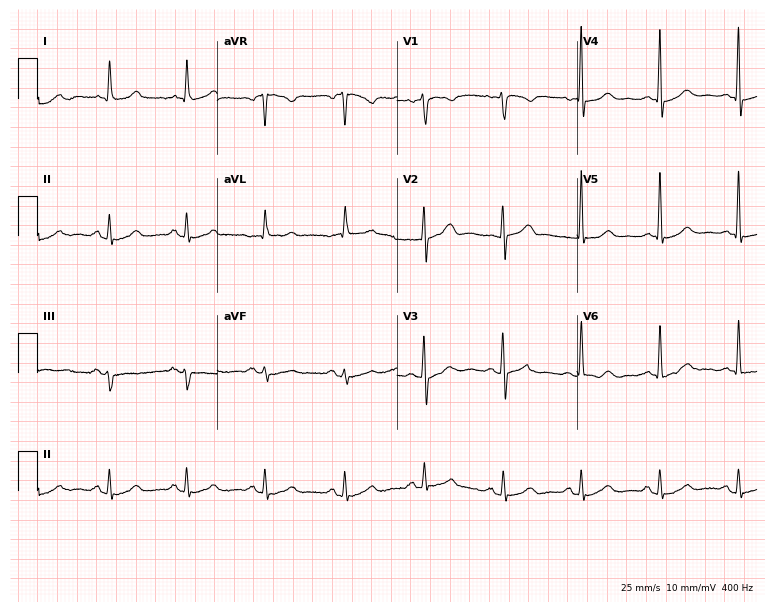
ECG (7.3-second recording at 400 Hz) — a female patient, 64 years old. Labelled as a normal ECG.